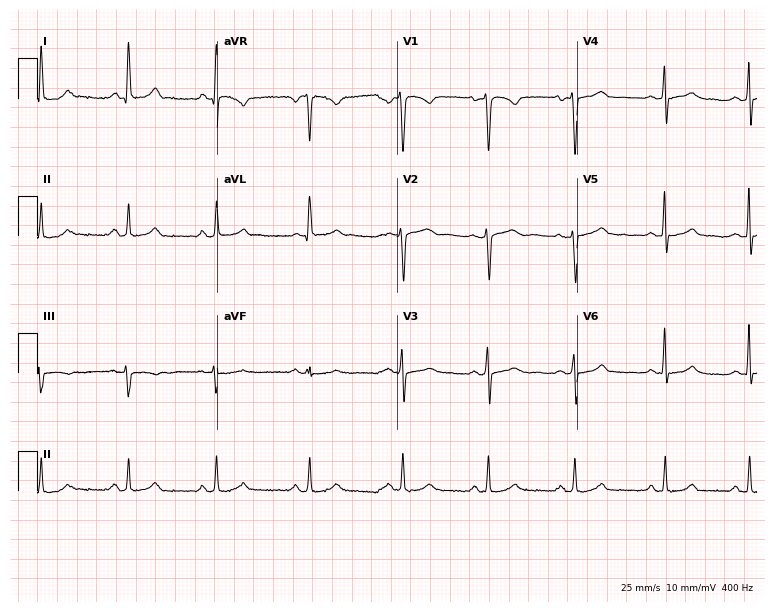
Electrocardiogram, a woman, 35 years old. Of the six screened findings (first-degree AV block, right bundle branch block (RBBB), left bundle branch block (LBBB), sinus bradycardia, atrial fibrillation (AF), sinus tachycardia), none is recorded.